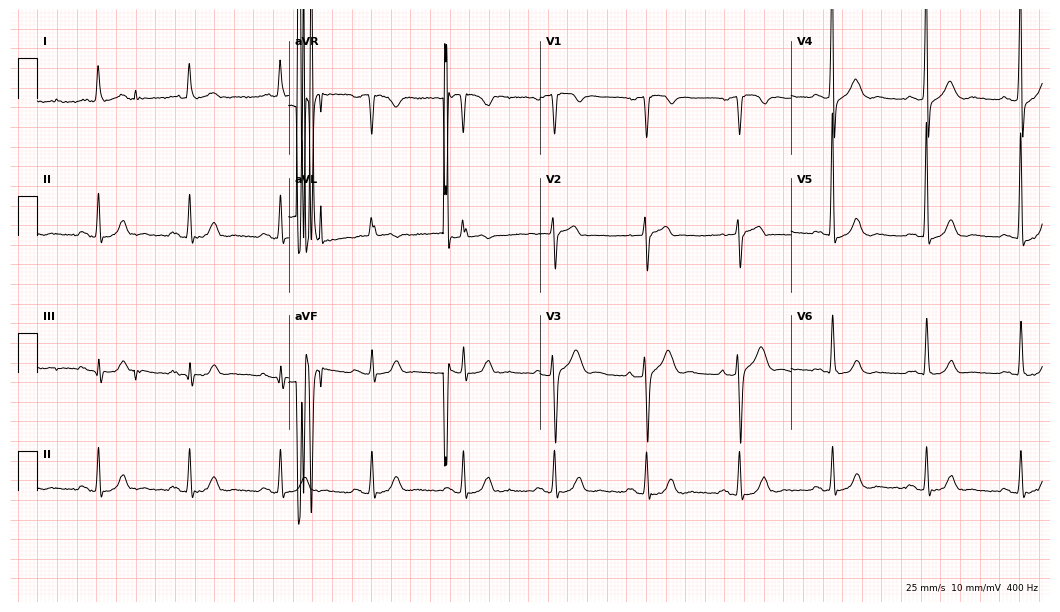
12-lead ECG from a male, 75 years old. Recorded interpretation: within normal limits.